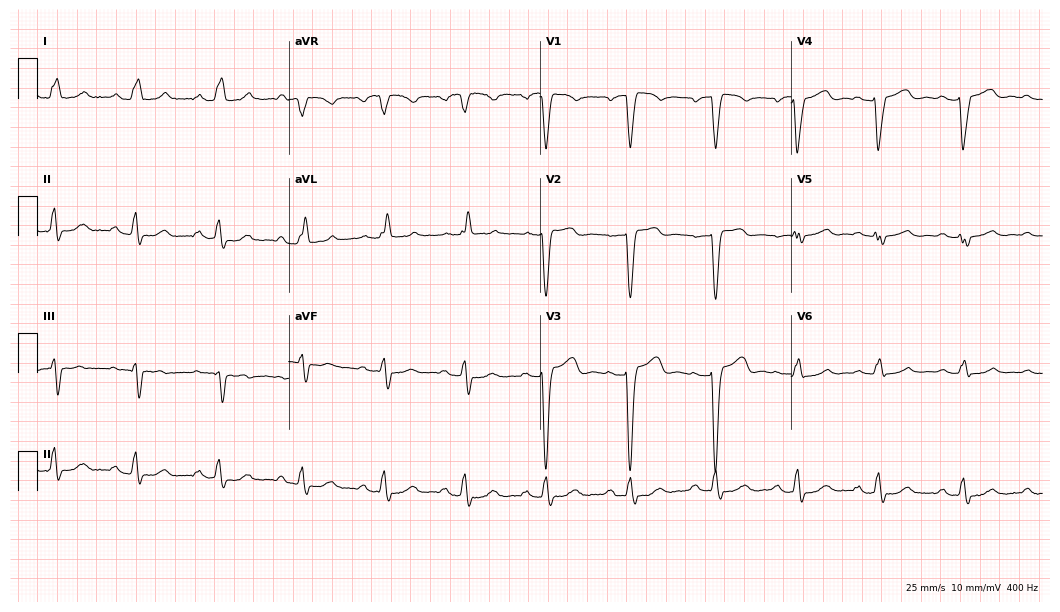
12-lead ECG from a woman, 67 years old. Findings include first-degree AV block, left bundle branch block.